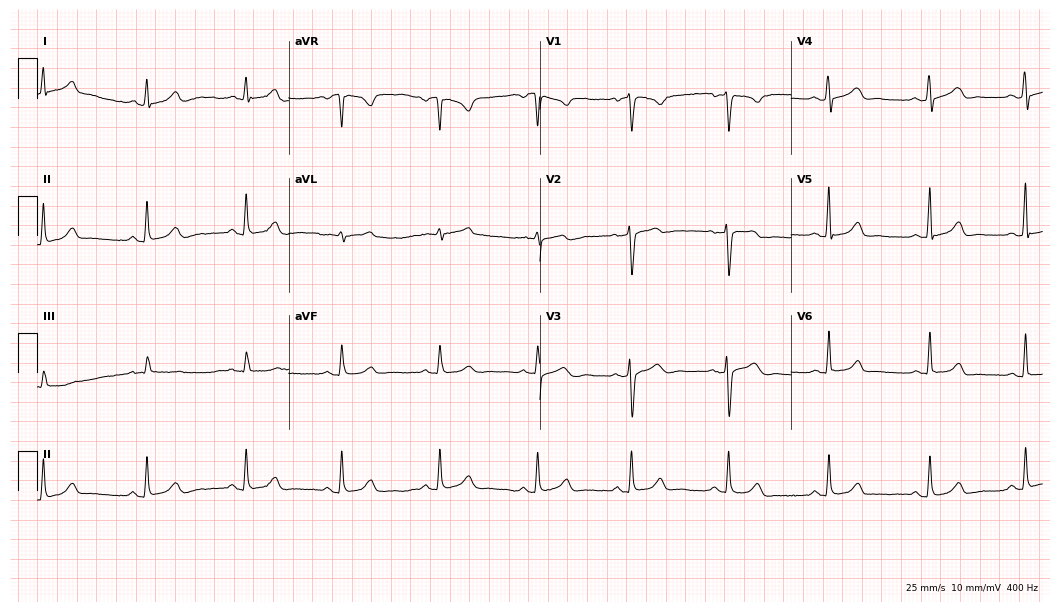
12-lead ECG from a female, 50 years old. Labelled as a normal ECG.